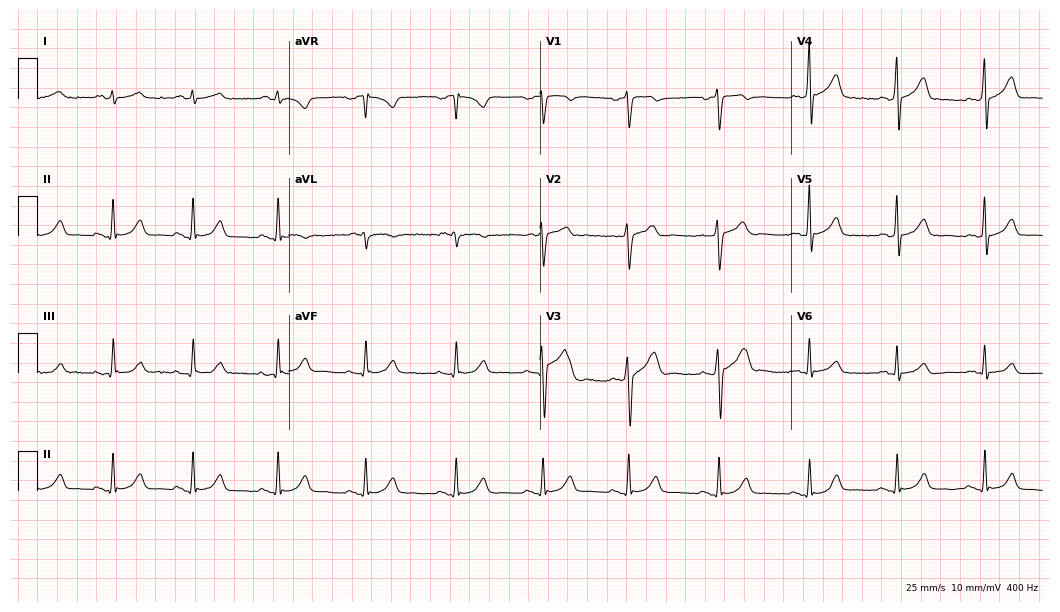
ECG — a male, 30 years old. Screened for six findings — first-degree AV block, right bundle branch block, left bundle branch block, sinus bradycardia, atrial fibrillation, sinus tachycardia — none is recorded. Only these six findings were labelled.